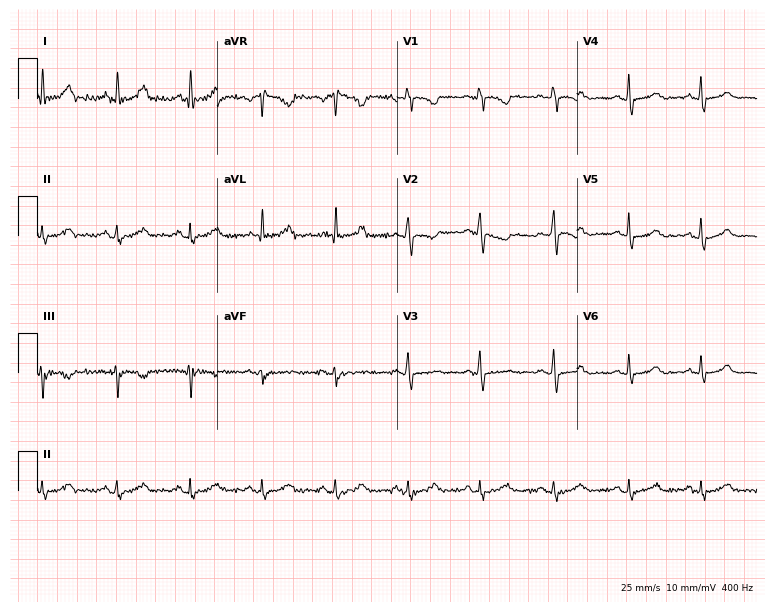
12-lead ECG (7.3-second recording at 400 Hz) from a 79-year-old woman. Screened for six findings — first-degree AV block, right bundle branch block, left bundle branch block, sinus bradycardia, atrial fibrillation, sinus tachycardia — none is recorded. Only these six findings were labelled.